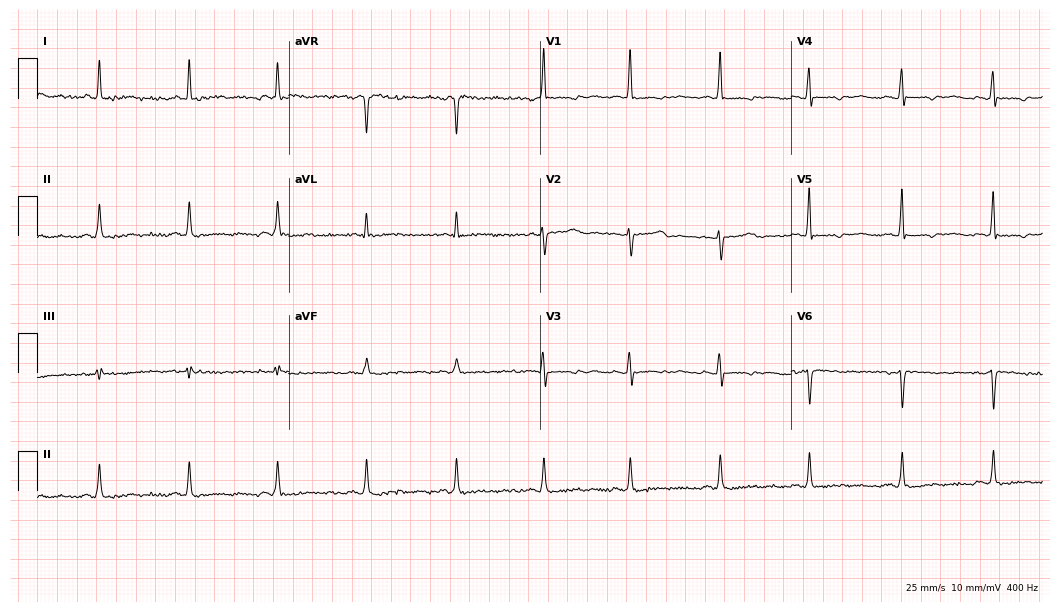
12-lead ECG from a female, 48 years old. No first-degree AV block, right bundle branch block, left bundle branch block, sinus bradycardia, atrial fibrillation or sinus tachycardia recorded for this tracing. Only these six findings were labelled.